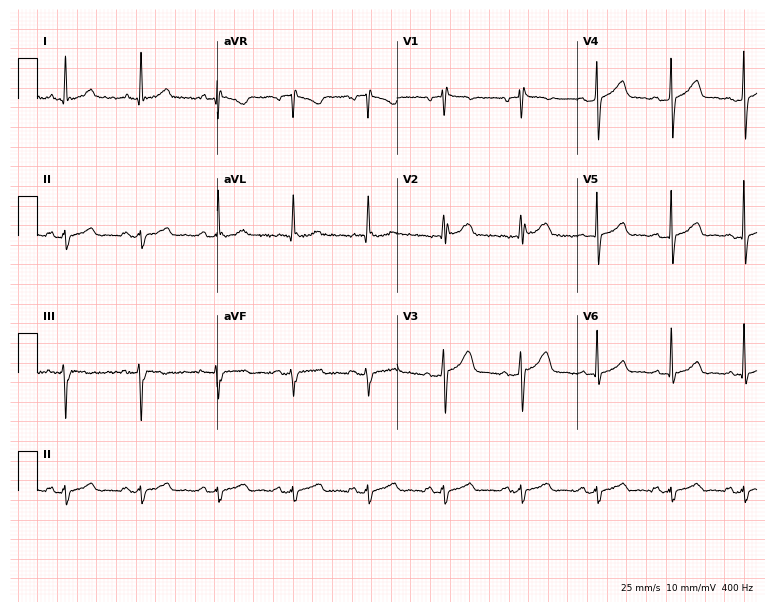
Resting 12-lead electrocardiogram (7.3-second recording at 400 Hz). Patient: a male, 50 years old. None of these six findings is recorded: first-degree AV block, right bundle branch block, left bundle branch block, sinus bradycardia, atrial fibrillation, sinus tachycardia. Only these six findings were labelled.